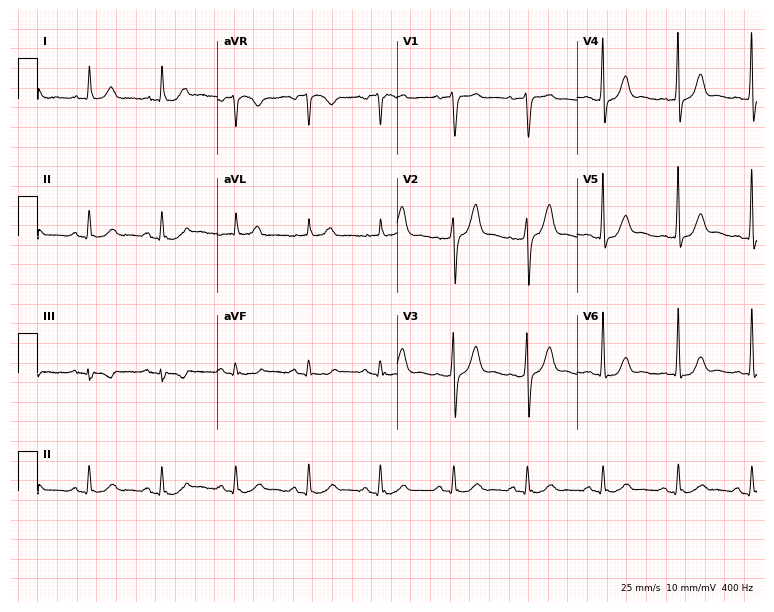
Standard 12-lead ECG recorded from a 68-year-old man (7.3-second recording at 400 Hz). None of these six findings is recorded: first-degree AV block, right bundle branch block, left bundle branch block, sinus bradycardia, atrial fibrillation, sinus tachycardia. Other findings, if any, are not listed.